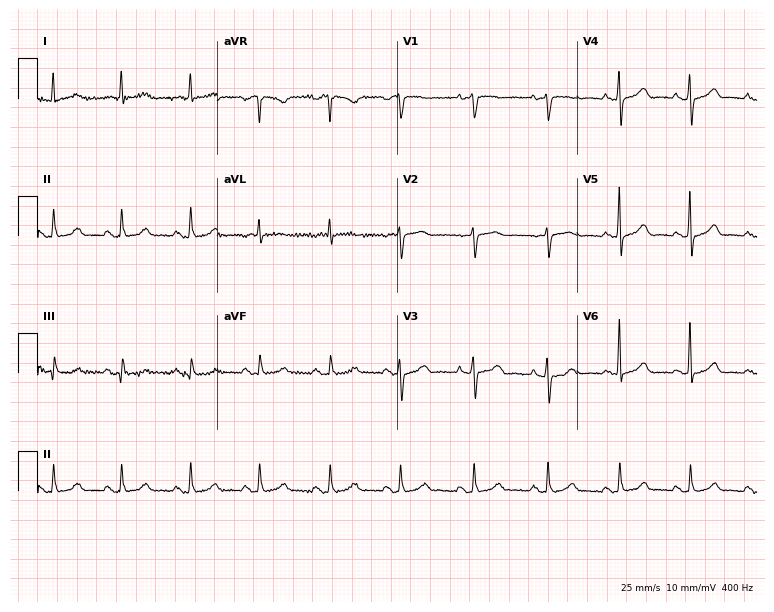
12-lead ECG from a woman, 80 years old. Labelled as a normal ECG.